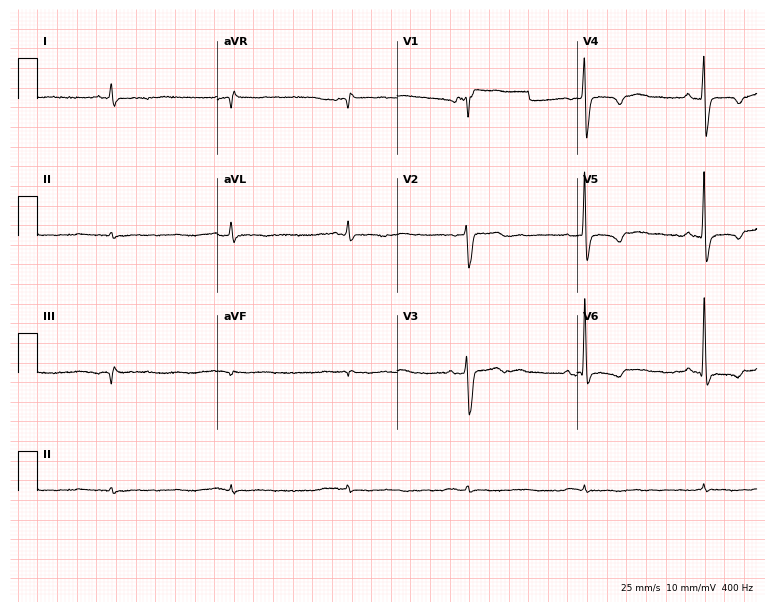
Resting 12-lead electrocardiogram. Patient: a male, 77 years old. None of these six findings is recorded: first-degree AV block, right bundle branch block (RBBB), left bundle branch block (LBBB), sinus bradycardia, atrial fibrillation (AF), sinus tachycardia. Only these six findings were labelled.